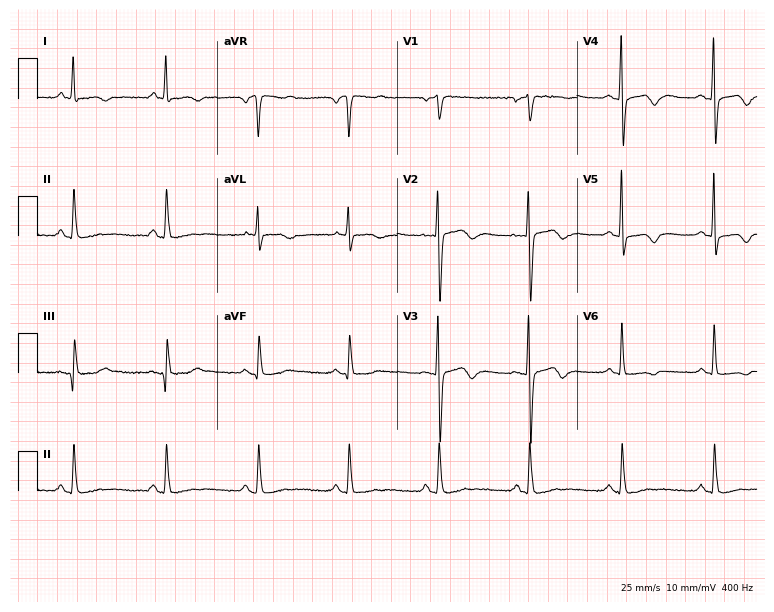
ECG (7.3-second recording at 400 Hz) — a 65-year-old female patient. Screened for six findings — first-degree AV block, right bundle branch block (RBBB), left bundle branch block (LBBB), sinus bradycardia, atrial fibrillation (AF), sinus tachycardia — none is recorded.